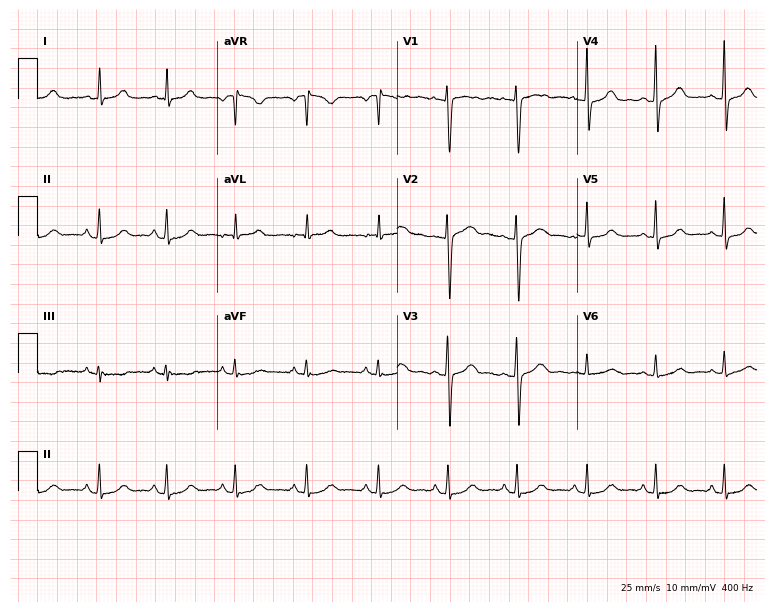
Electrocardiogram, a 55-year-old woman. Of the six screened findings (first-degree AV block, right bundle branch block (RBBB), left bundle branch block (LBBB), sinus bradycardia, atrial fibrillation (AF), sinus tachycardia), none is recorded.